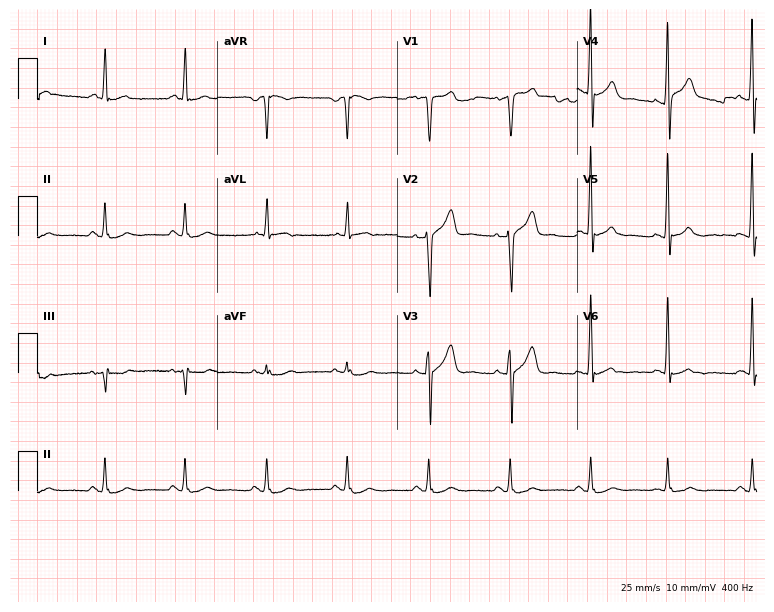
12-lead ECG from a male, 70 years old. Screened for six findings — first-degree AV block, right bundle branch block, left bundle branch block, sinus bradycardia, atrial fibrillation, sinus tachycardia — none is recorded. Other findings, if any, are not listed.